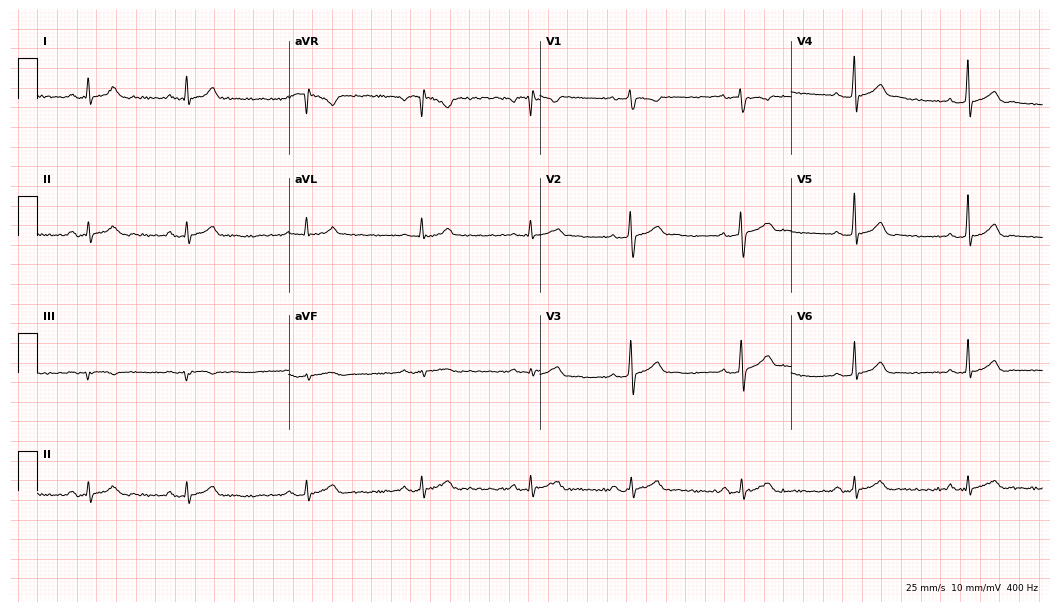
12-lead ECG from a 32-year-old male. Labelled as a normal ECG.